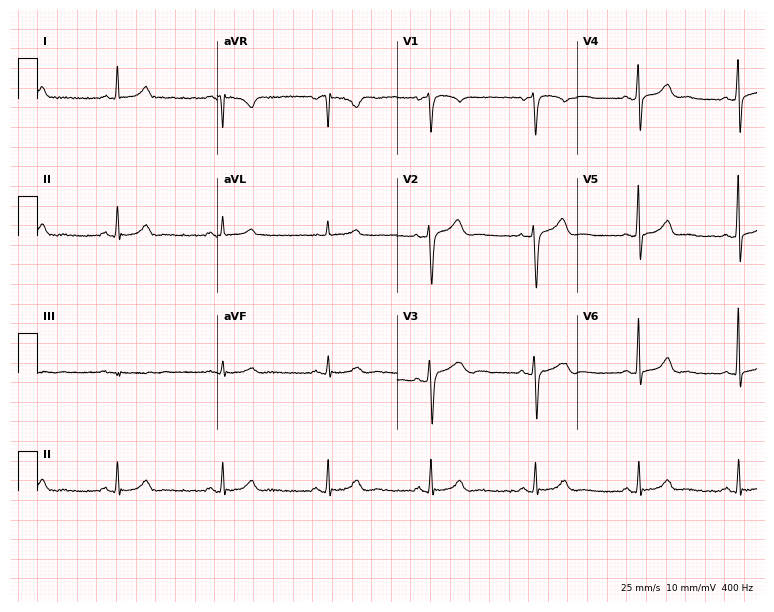
Electrocardiogram (7.3-second recording at 400 Hz), a male patient, 62 years old. Overall reading on record: normal ECG.